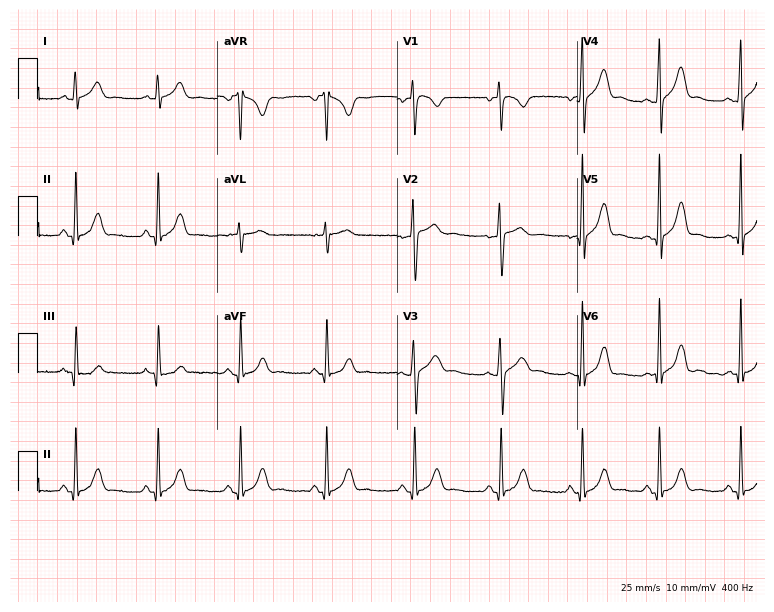
Electrocardiogram, a woman, 37 years old. Of the six screened findings (first-degree AV block, right bundle branch block (RBBB), left bundle branch block (LBBB), sinus bradycardia, atrial fibrillation (AF), sinus tachycardia), none is recorded.